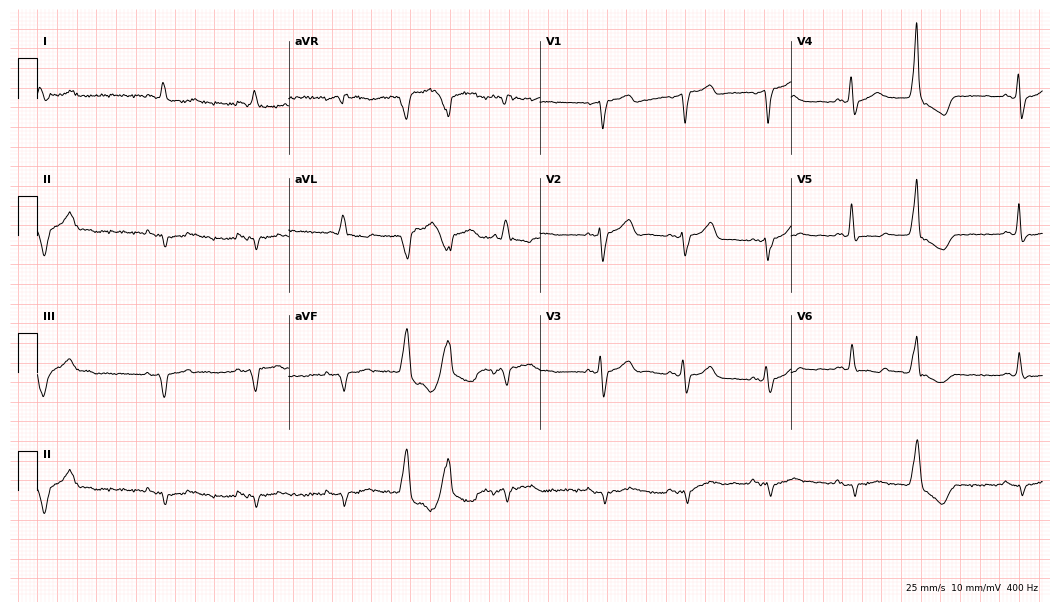
12-lead ECG from a male, 74 years old (10.2-second recording at 400 Hz). Shows left bundle branch block.